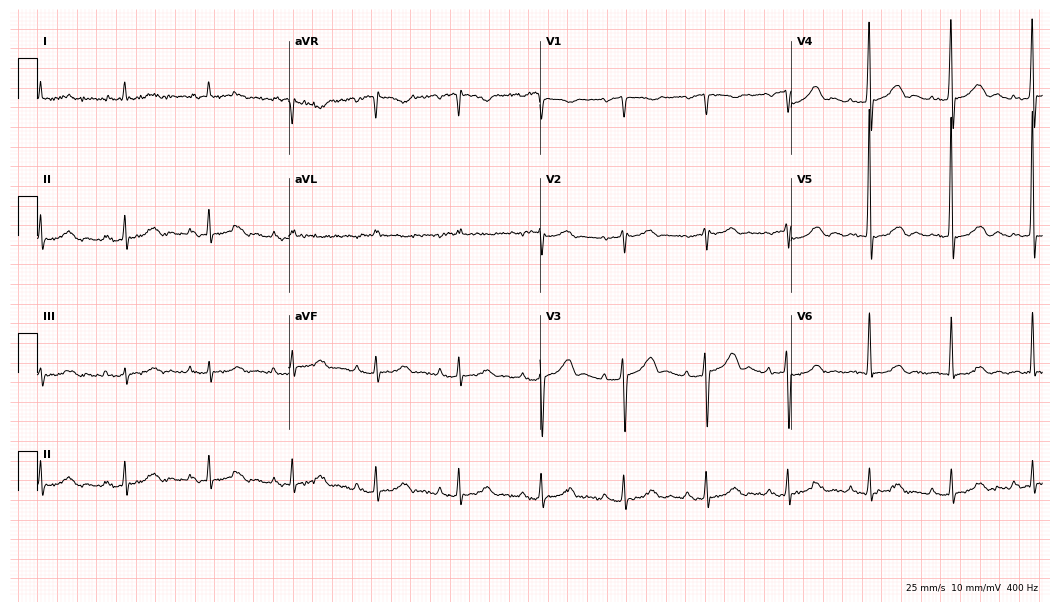
Standard 12-lead ECG recorded from a 77-year-old male. None of these six findings is recorded: first-degree AV block, right bundle branch block, left bundle branch block, sinus bradycardia, atrial fibrillation, sinus tachycardia.